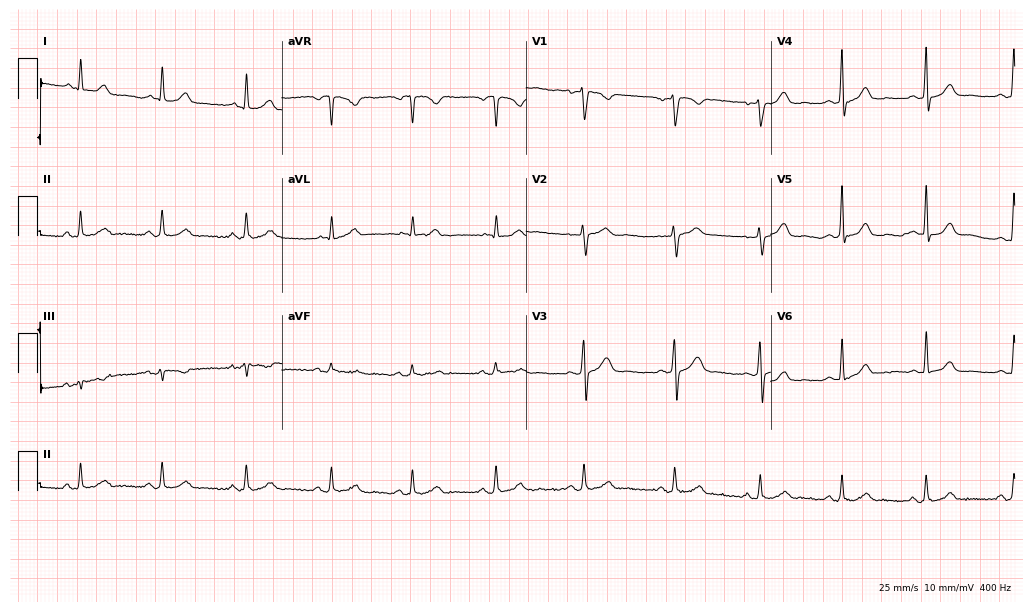
Resting 12-lead electrocardiogram (10-second recording at 400 Hz). Patient: a female, 39 years old. Read as a normal ECG.